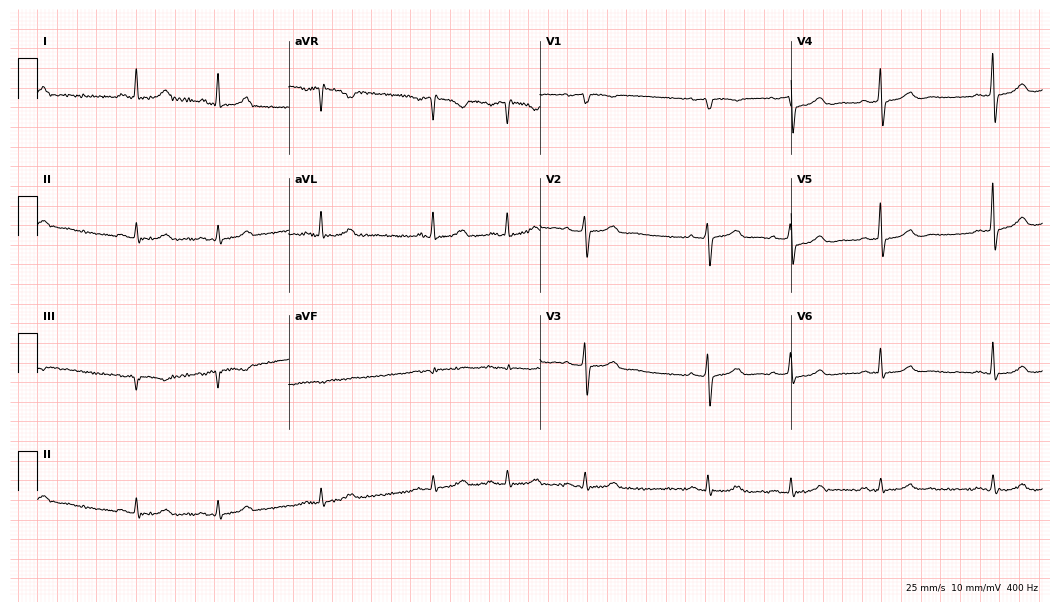
Electrocardiogram (10.2-second recording at 400 Hz), a female patient, 71 years old. Of the six screened findings (first-degree AV block, right bundle branch block, left bundle branch block, sinus bradycardia, atrial fibrillation, sinus tachycardia), none is recorded.